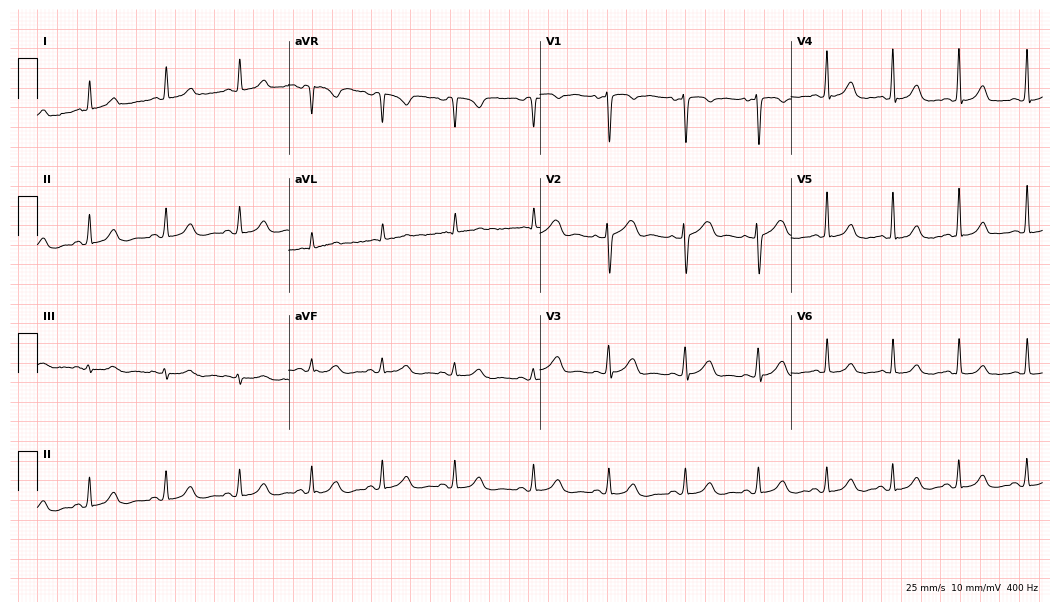
12-lead ECG from a female, 41 years old. Recorded interpretation: within normal limits.